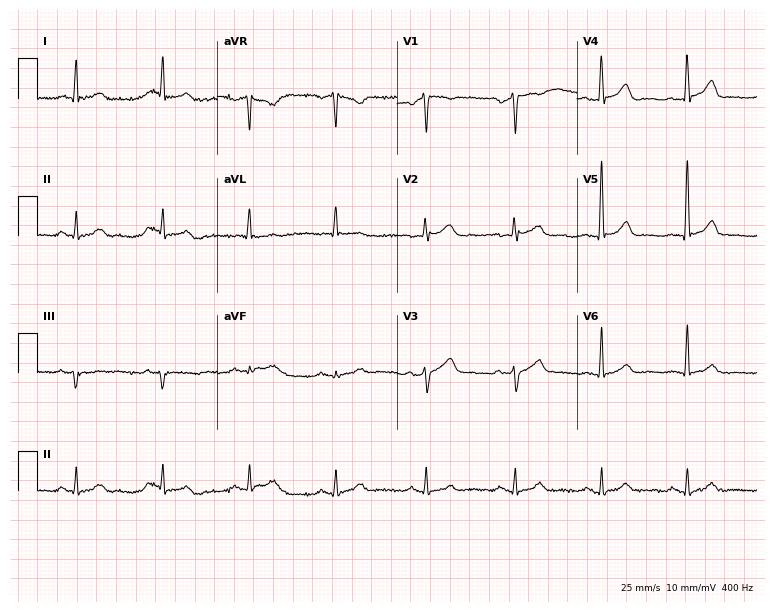
12-lead ECG (7.3-second recording at 400 Hz) from a male patient, 55 years old. Labelled as a normal ECG.